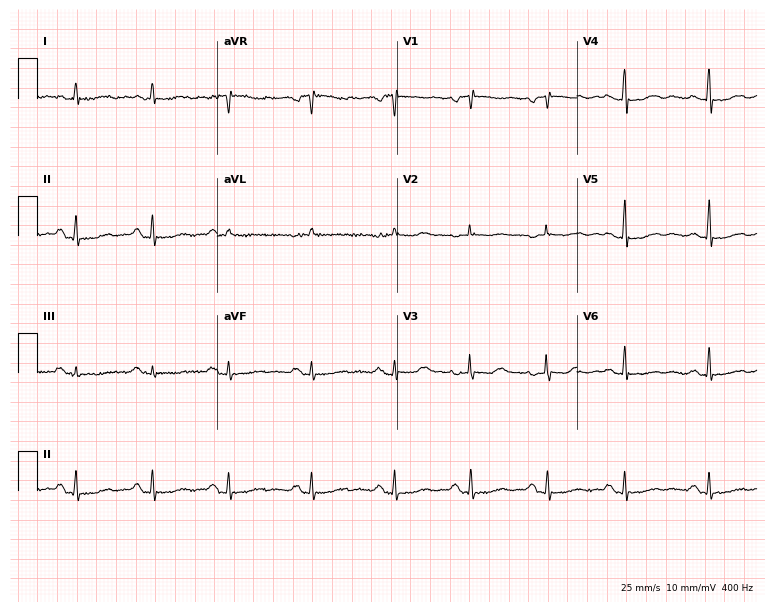
Electrocardiogram, a 58-year-old female patient. Of the six screened findings (first-degree AV block, right bundle branch block, left bundle branch block, sinus bradycardia, atrial fibrillation, sinus tachycardia), none is recorded.